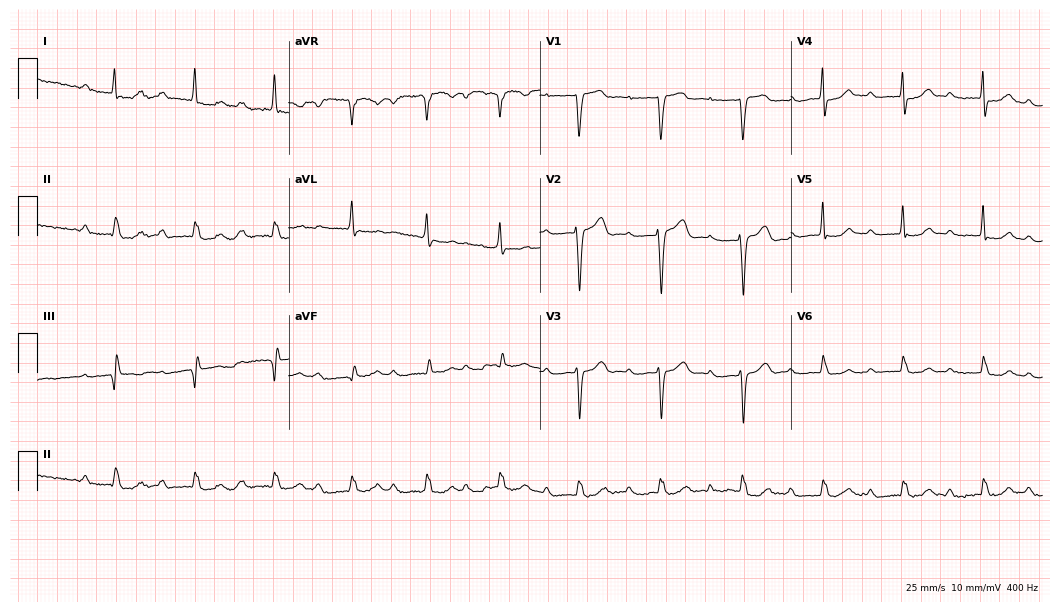
Electrocardiogram (10.2-second recording at 400 Hz), a female patient, 68 years old. Of the six screened findings (first-degree AV block, right bundle branch block (RBBB), left bundle branch block (LBBB), sinus bradycardia, atrial fibrillation (AF), sinus tachycardia), none is recorded.